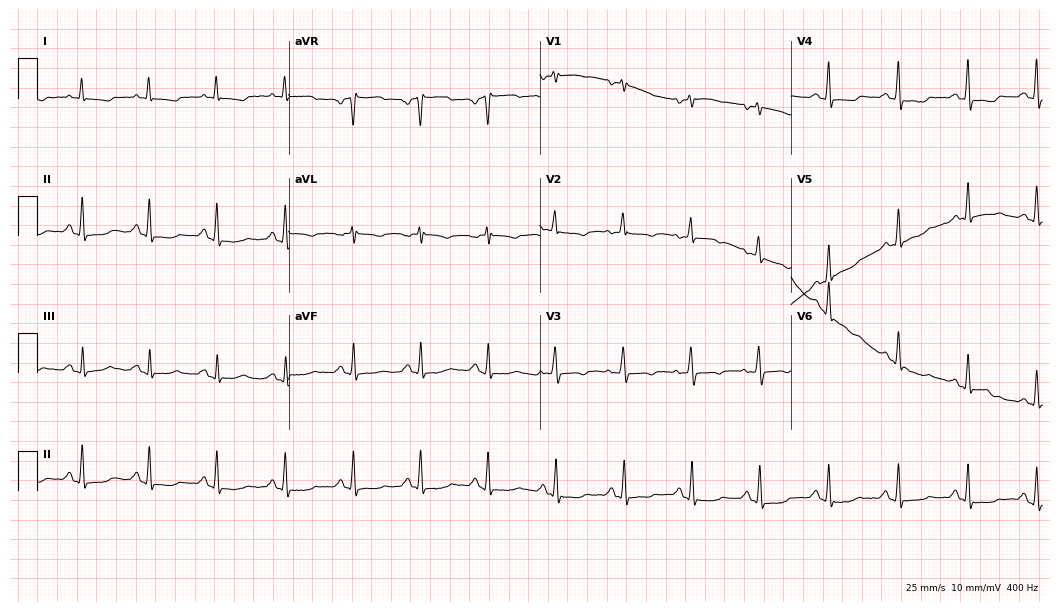
Standard 12-lead ECG recorded from a 63-year-old woman (10.2-second recording at 400 Hz). None of these six findings is recorded: first-degree AV block, right bundle branch block, left bundle branch block, sinus bradycardia, atrial fibrillation, sinus tachycardia. Only these six findings were labelled.